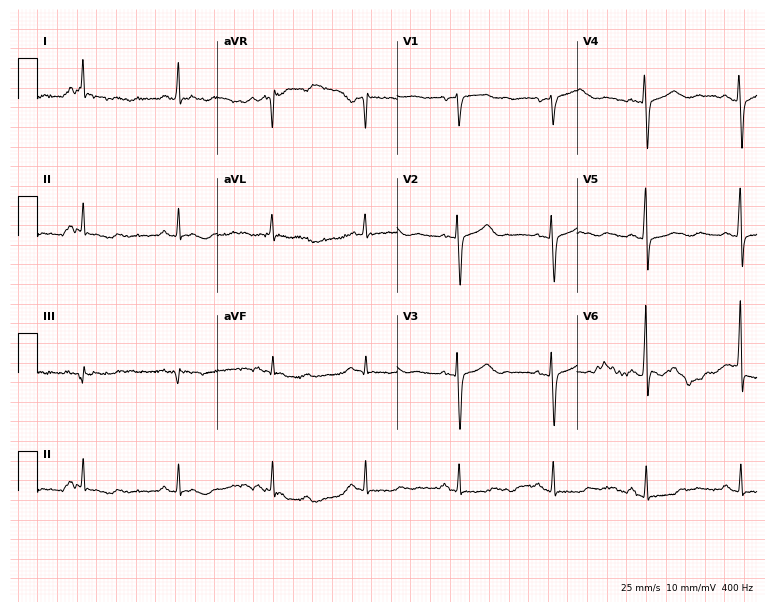
Standard 12-lead ECG recorded from a female, 60 years old (7.3-second recording at 400 Hz). None of these six findings is recorded: first-degree AV block, right bundle branch block, left bundle branch block, sinus bradycardia, atrial fibrillation, sinus tachycardia. Other findings, if any, are not listed.